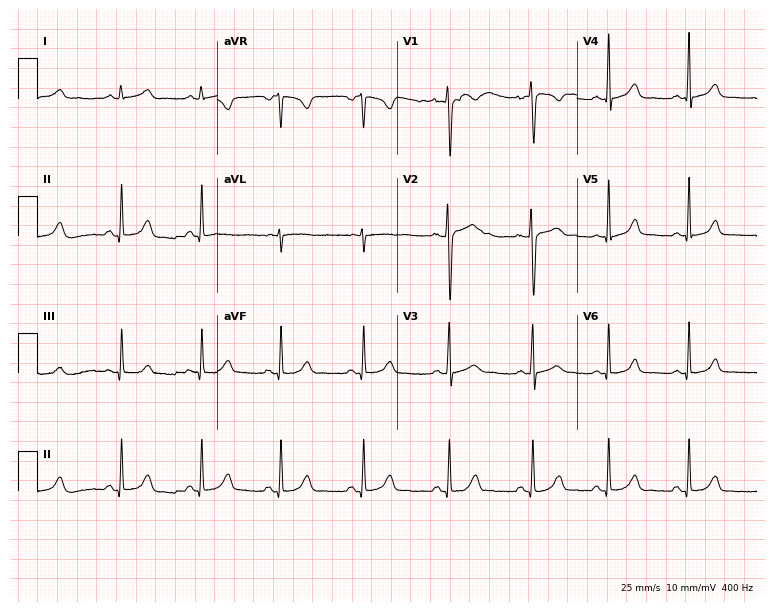
ECG — a 27-year-old woman. Labelled as a normal ECG.